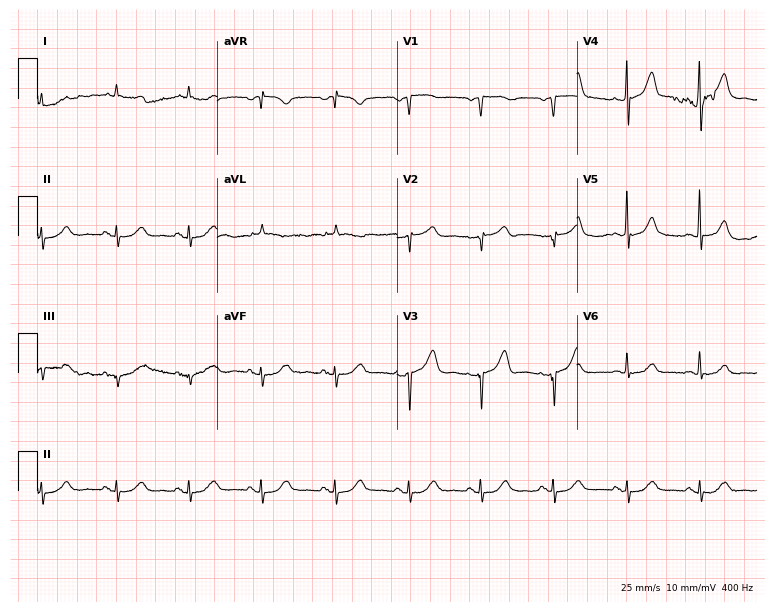
Electrocardiogram, a female, 72 years old. Of the six screened findings (first-degree AV block, right bundle branch block, left bundle branch block, sinus bradycardia, atrial fibrillation, sinus tachycardia), none is recorded.